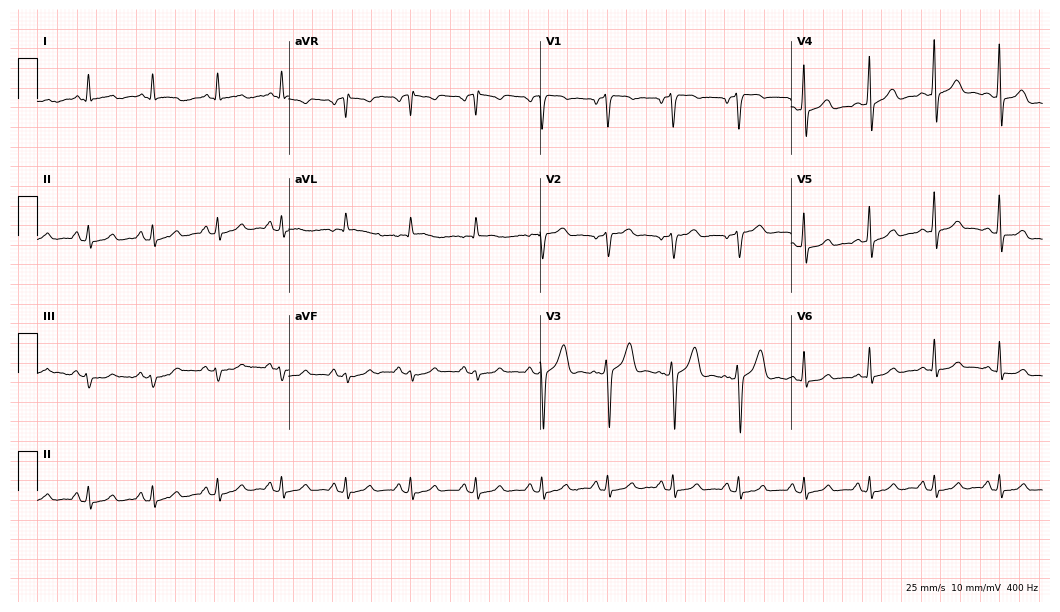
Electrocardiogram (10.2-second recording at 400 Hz), a male, 37 years old. Of the six screened findings (first-degree AV block, right bundle branch block (RBBB), left bundle branch block (LBBB), sinus bradycardia, atrial fibrillation (AF), sinus tachycardia), none is recorded. Other findings, if any, are not listed.